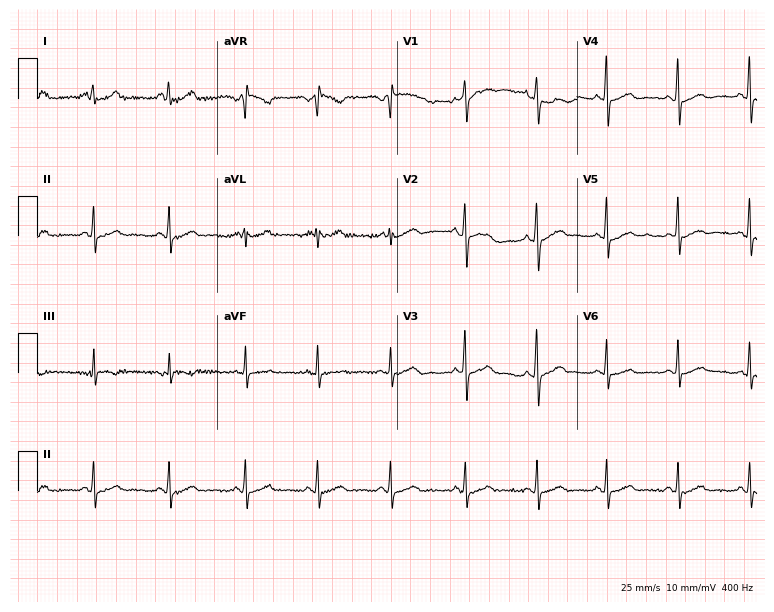
12-lead ECG (7.3-second recording at 400 Hz) from a 24-year-old woman. Labelled as a normal ECG.